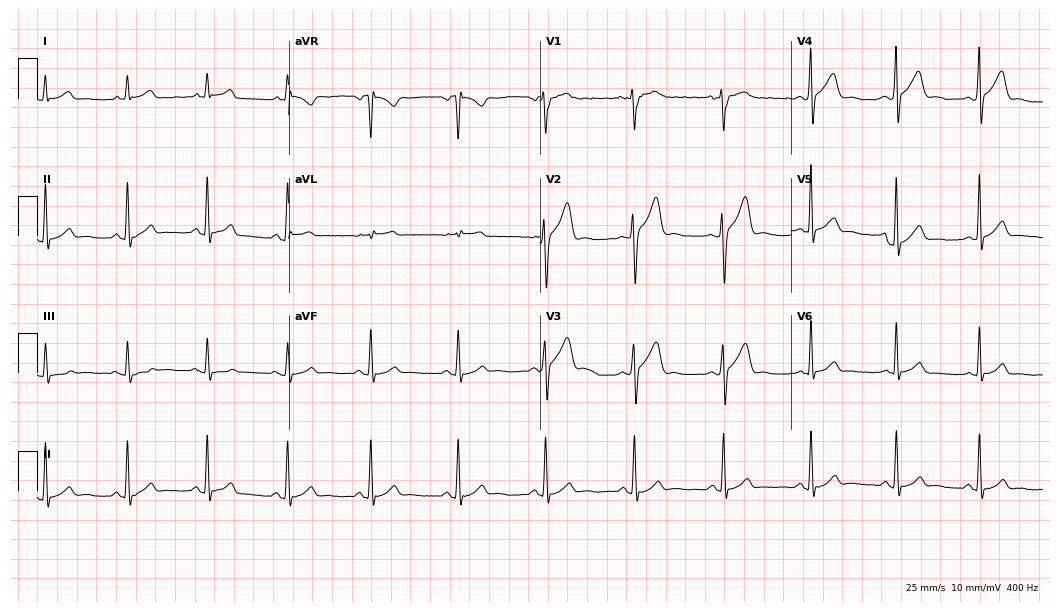
Standard 12-lead ECG recorded from a 34-year-old male (10.2-second recording at 400 Hz). Read as a normal ECG.